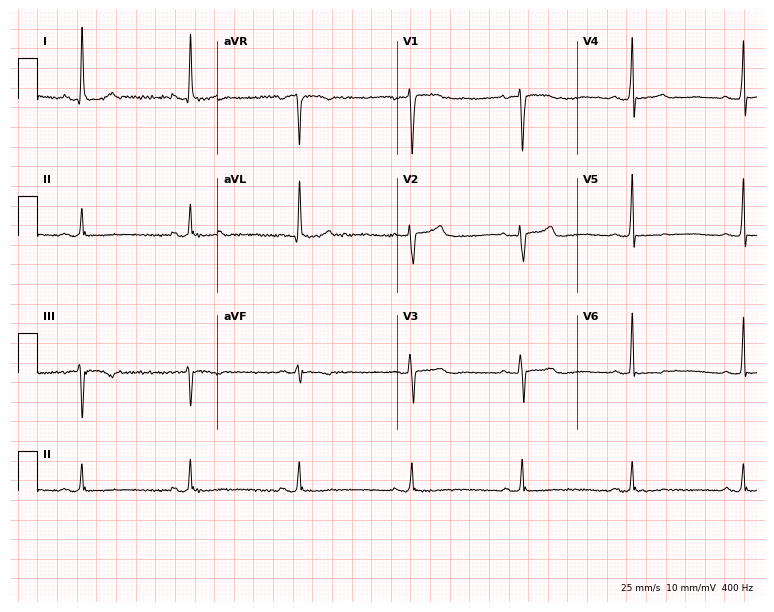
12-lead ECG from a 64-year-old female (7.3-second recording at 400 Hz). No first-degree AV block, right bundle branch block, left bundle branch block, sinus bradycardia, atrial fibrillation or sinus tachycardia recorded for this tracing.